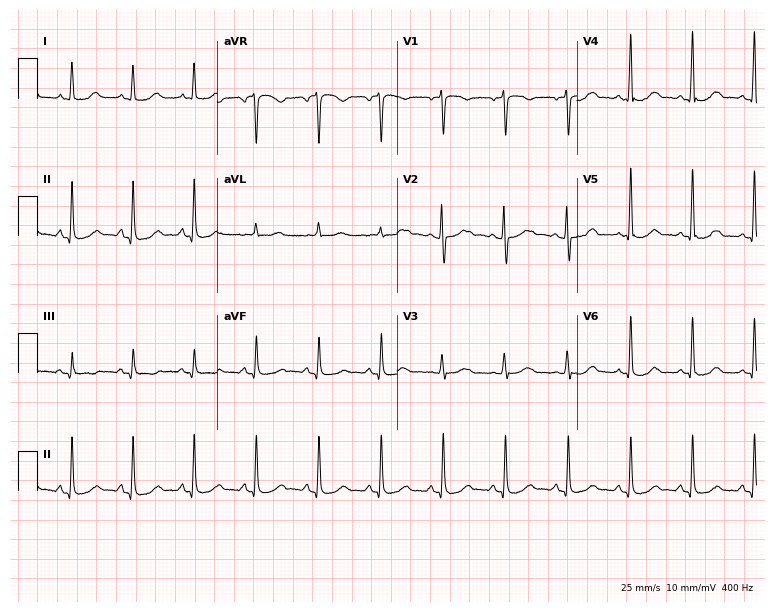
Standard 12-lead ECG recorded from a female, 35 years old. None of these six findings is recorded: first-degree AV block, right bundle branch block (RBBB), left bundle branch block (LBBB), sinus bradycardia, atrial fibrillation (AF), sinus tachycardia. Findings outside these six are not listed.